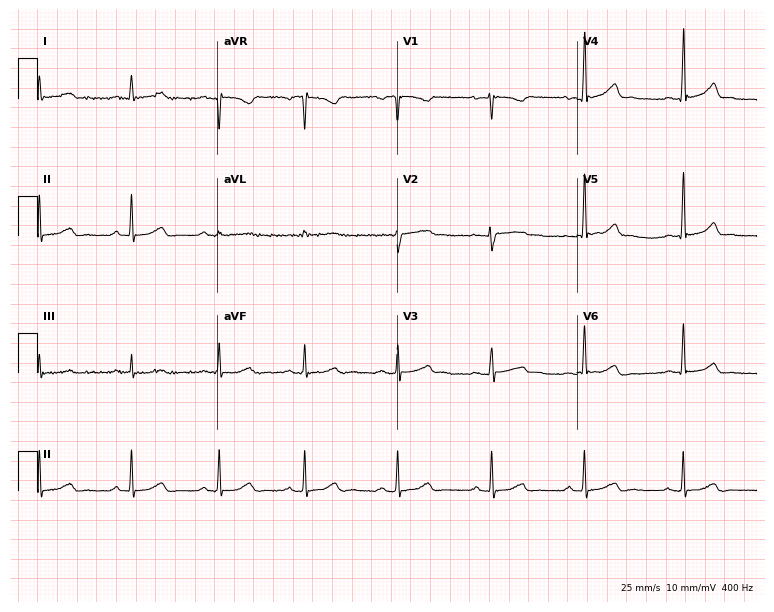
Resting 12-lead electrocardiogram. Patient: a 47-year-old female. None of these six findings is recorded: first-degree AV block, right bundle branch block, left bundle branch block, sinus bradycardia, atrial fibrillation, sinus tachycardia. Findings outside these six are not listed.